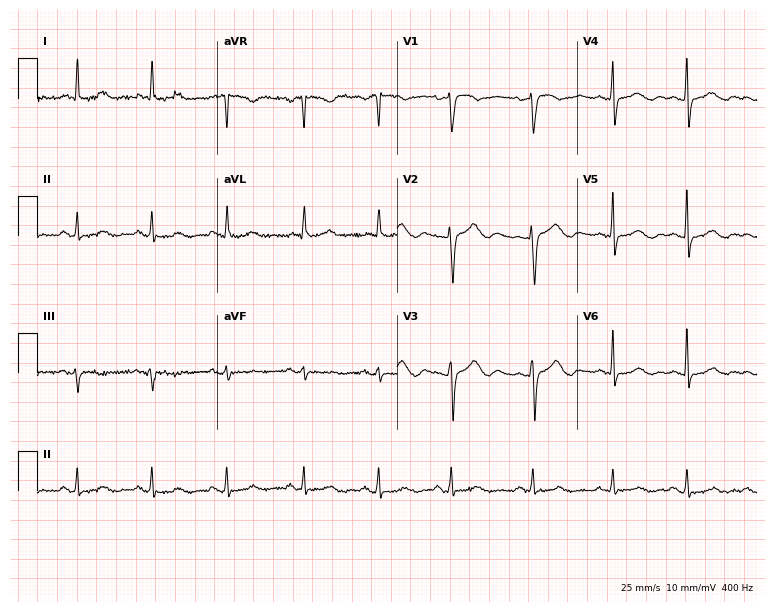
ECG (7.3-second recording at 400 Hz) — a 56-year-old female patient. Labelled as a normal ECG.